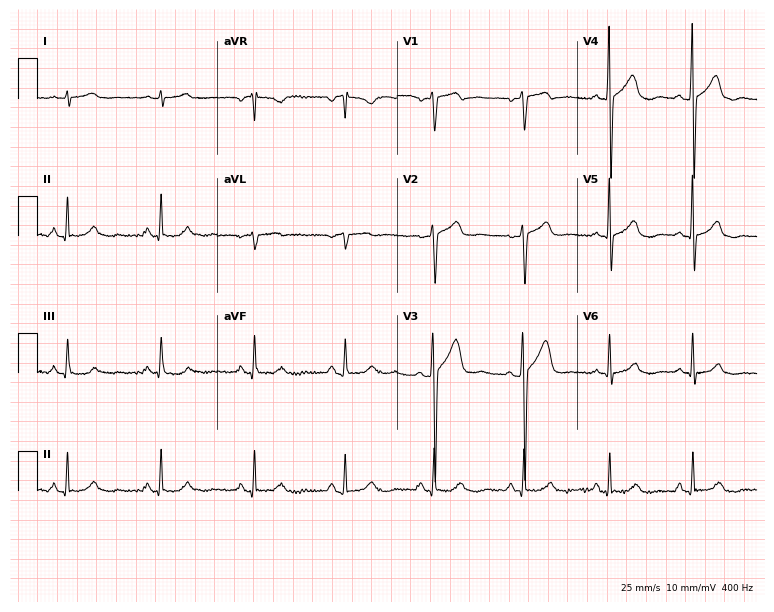
ECG (7.3-second recording at 400 Hz) — a 55-year-old male patient. Labelled as a normal ECG.